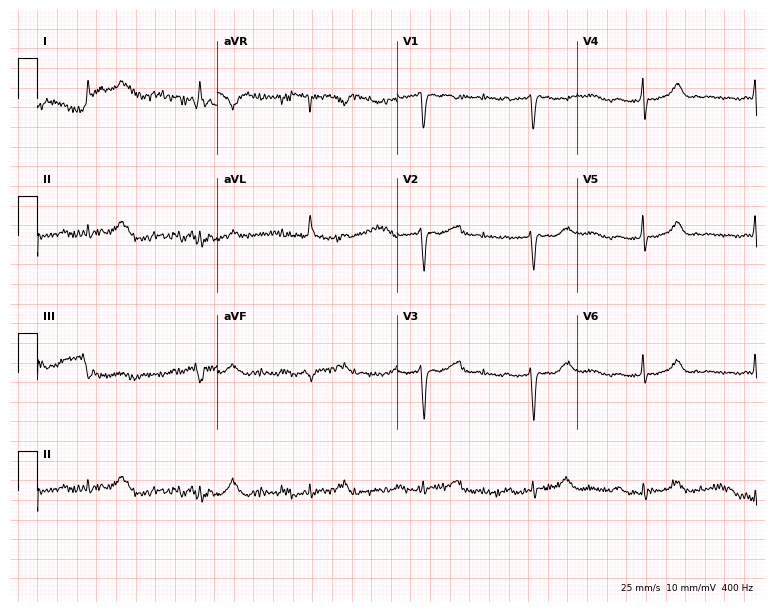
Standard 12-lead ECG recorded from an 84-year-old female. The tracing shows first-degree AV block.